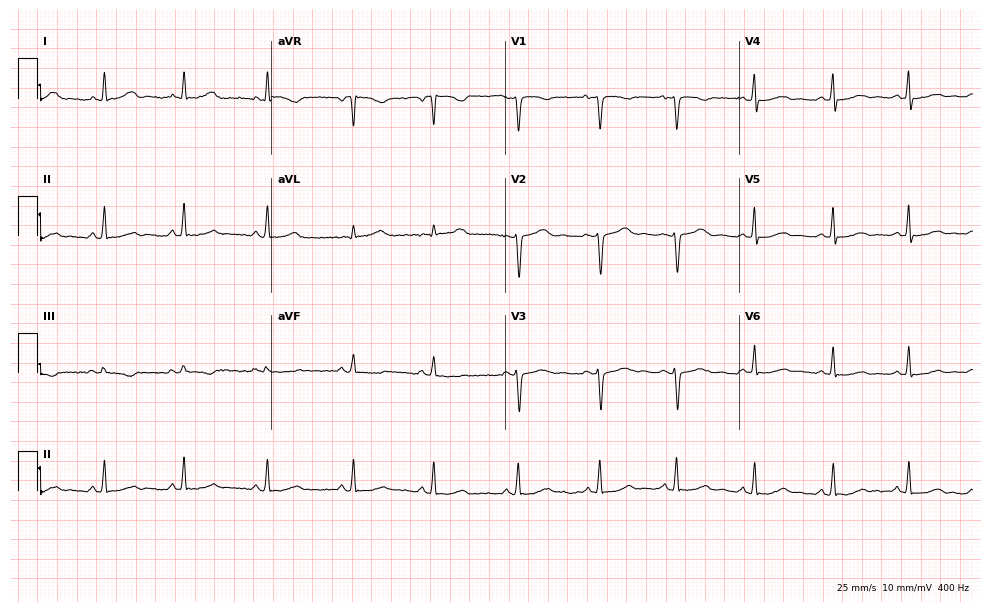
Standard 12-lead ECG recorded from a female patient, 42 years old (9.5-second recording at 400 Hz). Read as a normal ECG.